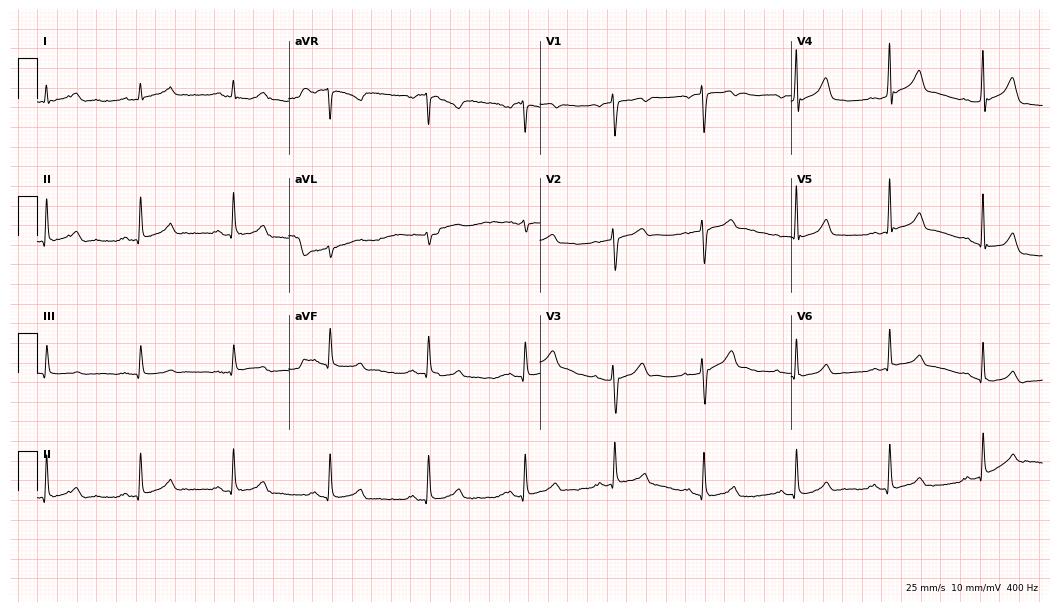
12-lead ECG from a 33-year-old male (10.2-second recording at 400 Hz). Recorded interpretation: within normal limits.